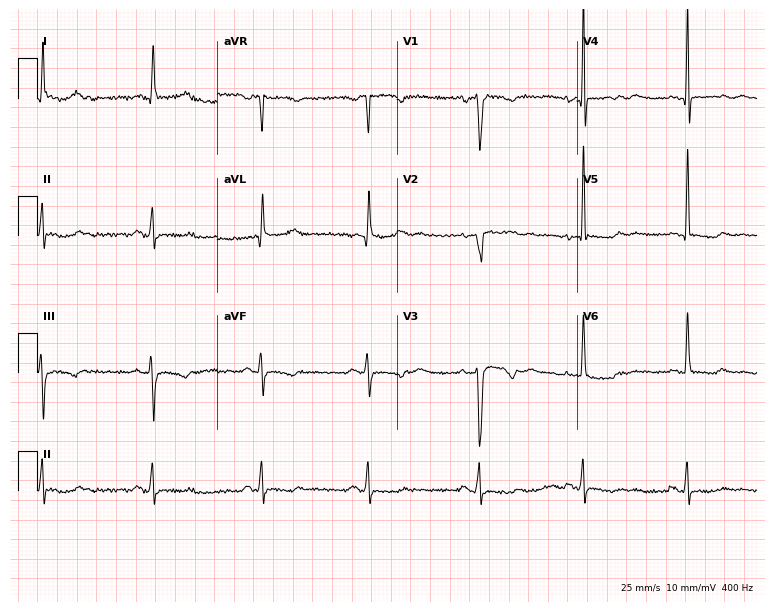
ECG — a female patient, 59 years old. Screened for six findings — first-degree AV block, right bundle branch block (RBBB), left bundle branch block (LBBB), sinus bradycardia, atrial fibrillation (AF), sinus tachycardia — none is recorded. Only these six findings were labelled.